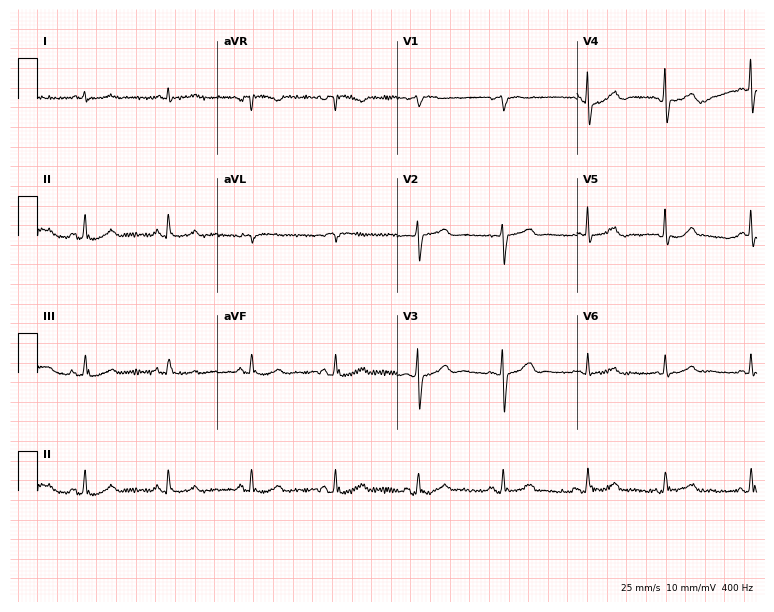
12-lead ECG from a male patient, 79 years old (7.3-second recording at 400 Hz). Recorded interpretation: within normal limits.